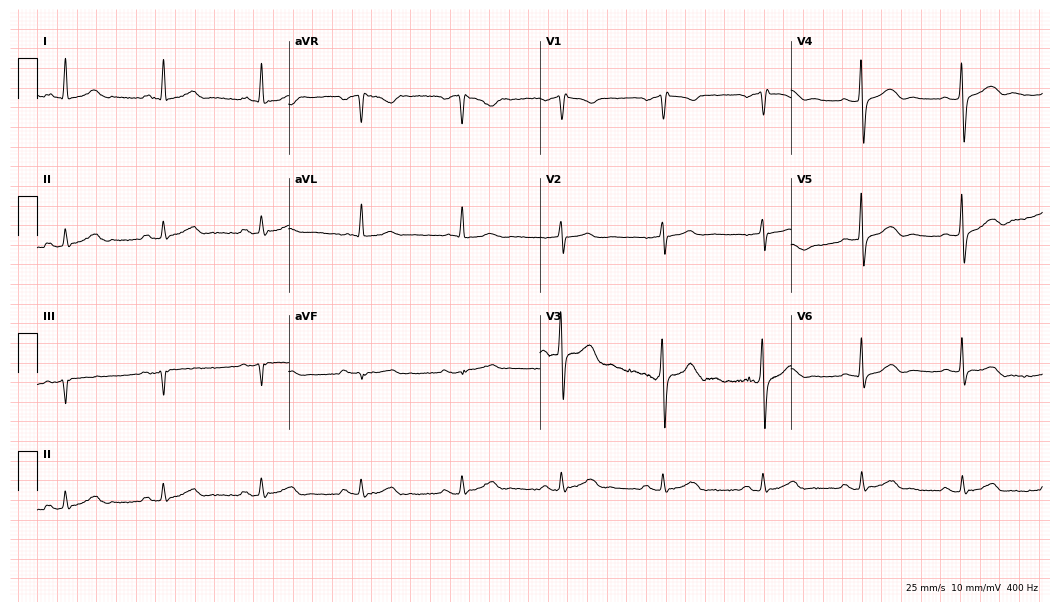
12-lead ECG (10.2-second recording at 400 Hz) from a man, 57 years old. Screened for six findings — first-degree AV block, right bundle branch block (RBBB), left bundle branch block (LBBB), sinus bradycardia, atrial fibrillation (AF), sinus tachycardia — none is recorded.